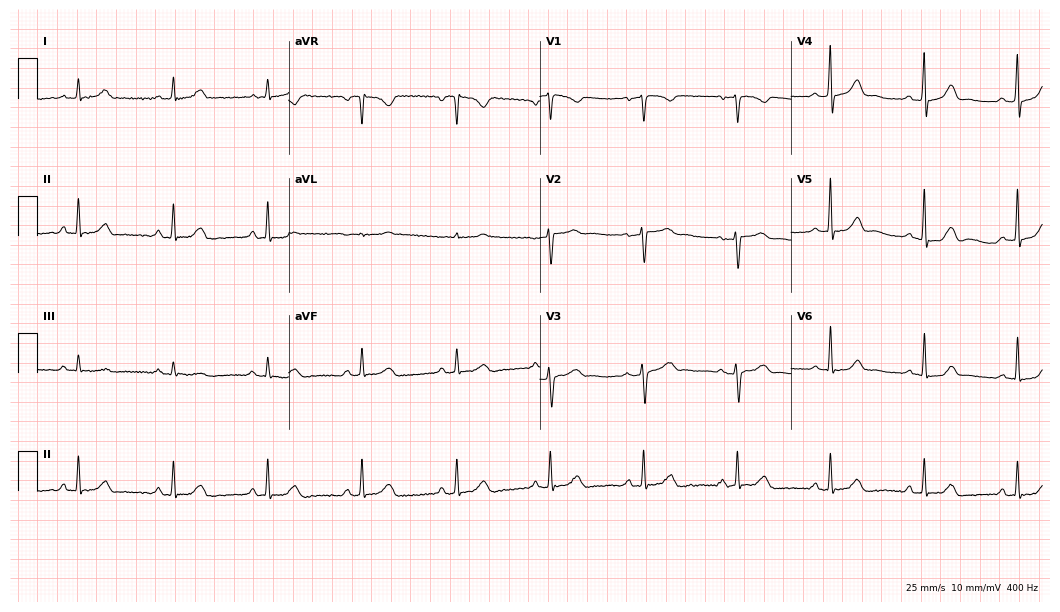
Electrocardiogram (10.2-second recording at 400 Hz), a woman, 47 years old. Of the six screened findings (first-degree AV block, right bundle branch block (RBBB), left bundle branch block (LBBB), sinus bradycardia, atrial fibrillation (AF), sinus tachycardia), none is recorded.